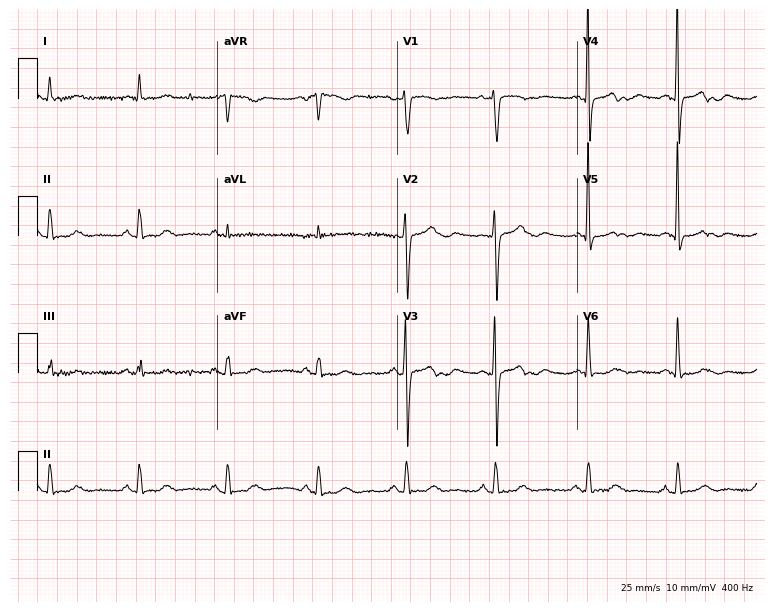
ECG — a female patient, 77 years old. Screened for six findings — first-degree AV block, right bundle branch block, left bundle branch block, sinus bradycardia, atrial fibrillation, sinus tachycardia — none is recorded. Other findings, if any, are not listed.